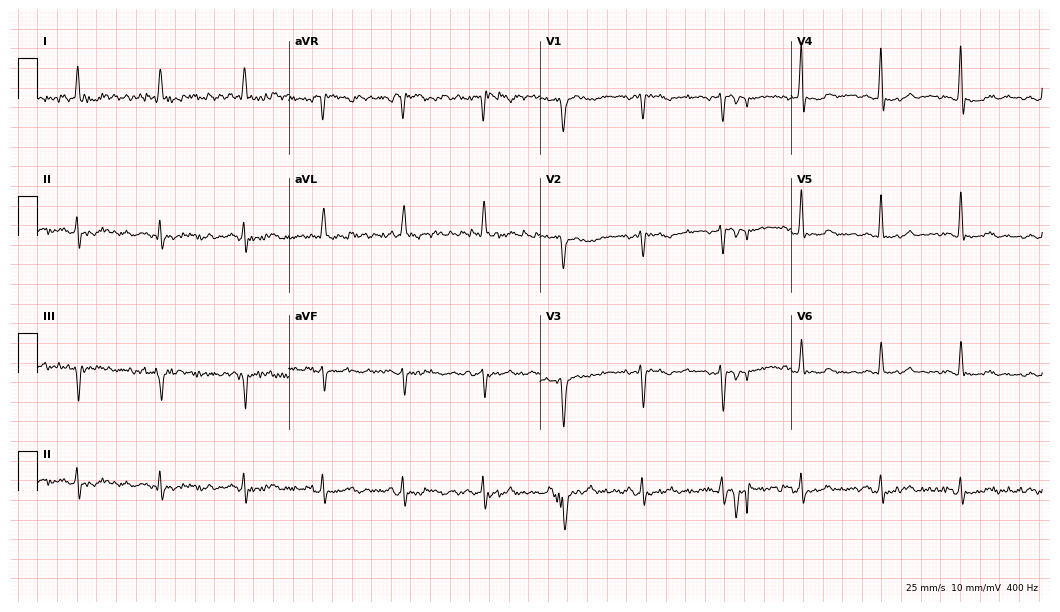
Resting 12-lead electrocardiogram. Patient: a female, 69 years old. None of these six findings is recorded: first-degree AV block, right bundle branch block (RBBB), left bundle branch block (LBBB), sinus bradycardia, atrial fibrillation (AF), sinus tachycardia.